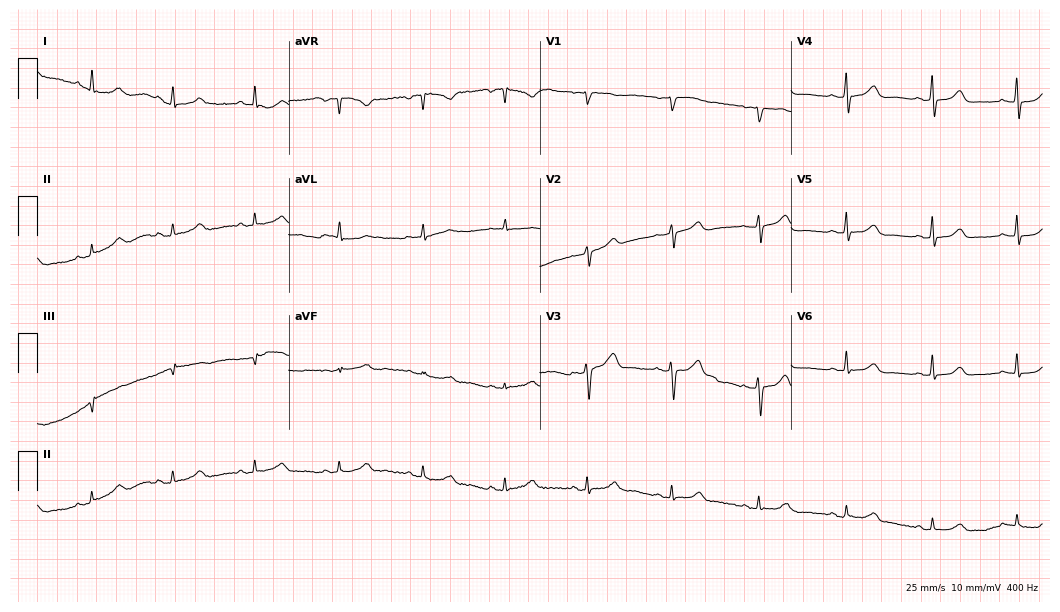
12-lead ECG from a 60-year-old female. No first-degree AV block, right bundle branch block (RBBB), left bundle branch block (LBBB), sinus bradycardia, atrial fibrillation (AF) or sinus tachycardia recorded for this tracing.